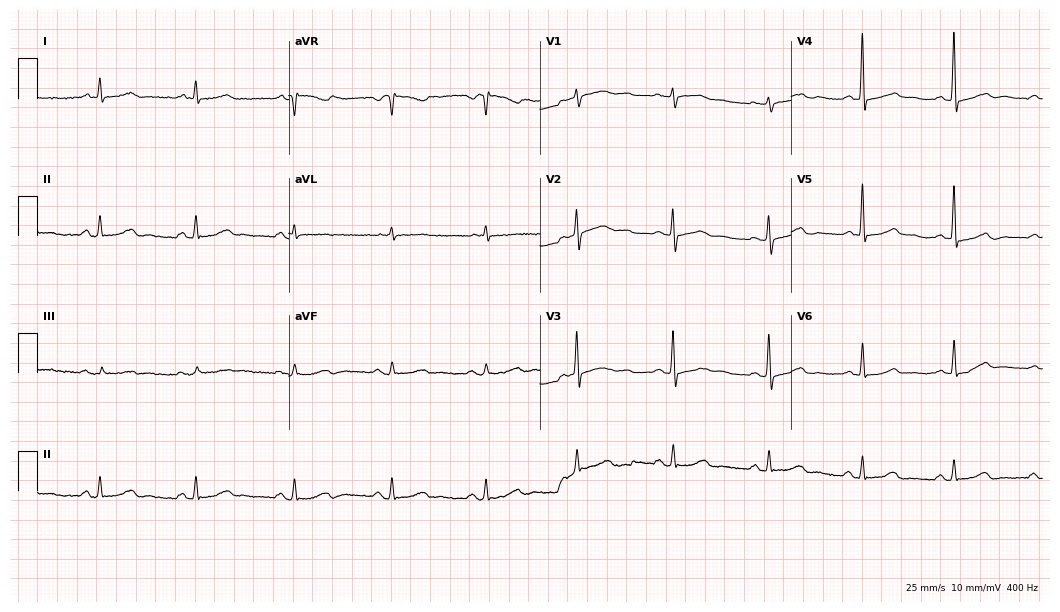
Electrocardiogram (10.2-second recording at 400 Hz), a female patient, 54 years old. Overall reading on record: normal ECG.